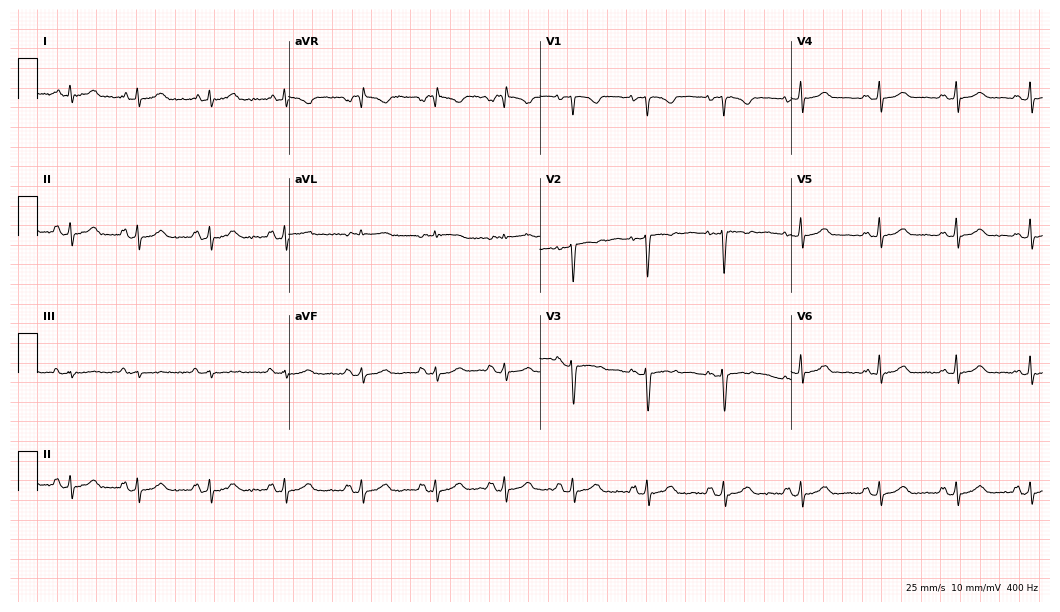
Electrocardiogram, a man, 32 years old. Overall reading on record: normal ECG.